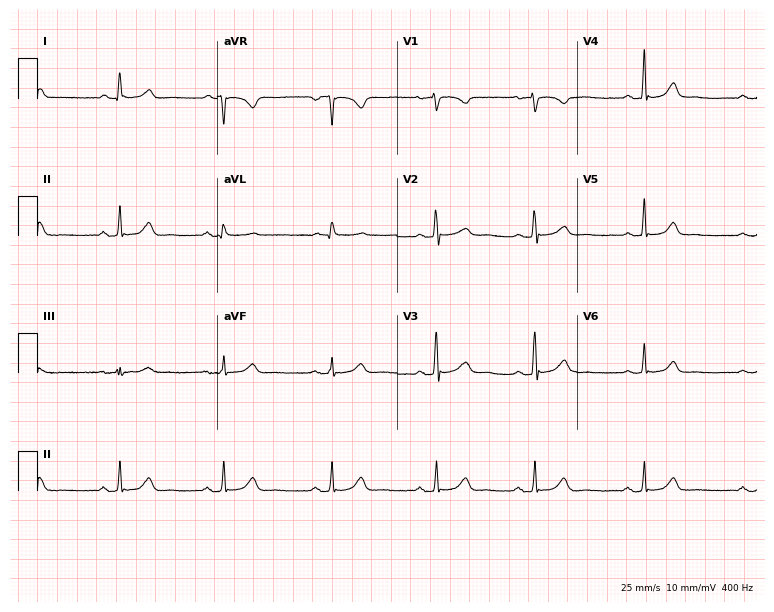
Resting 12-lead electrocardiogram. Patient: a woman, 61 years old. Read as a normal ECG.